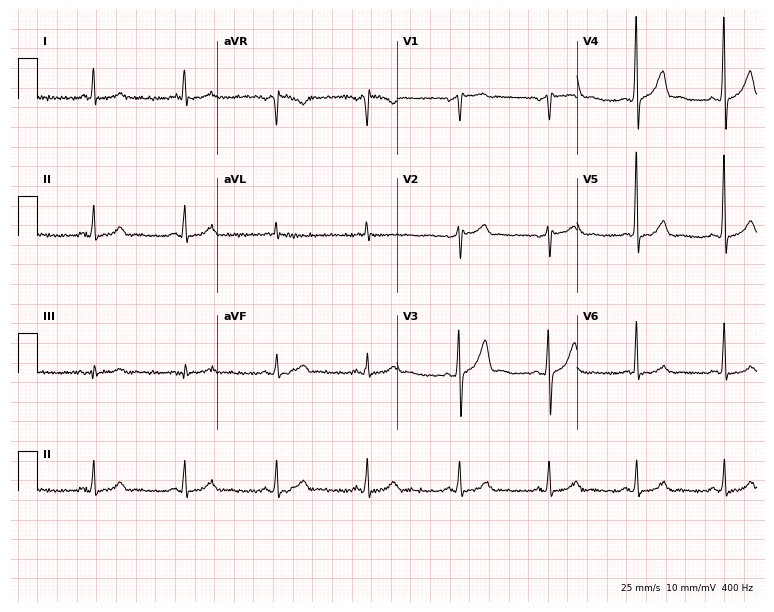
Electrocardiogram, a male patient, 60 years old. Overall reading on record: normal ECG.